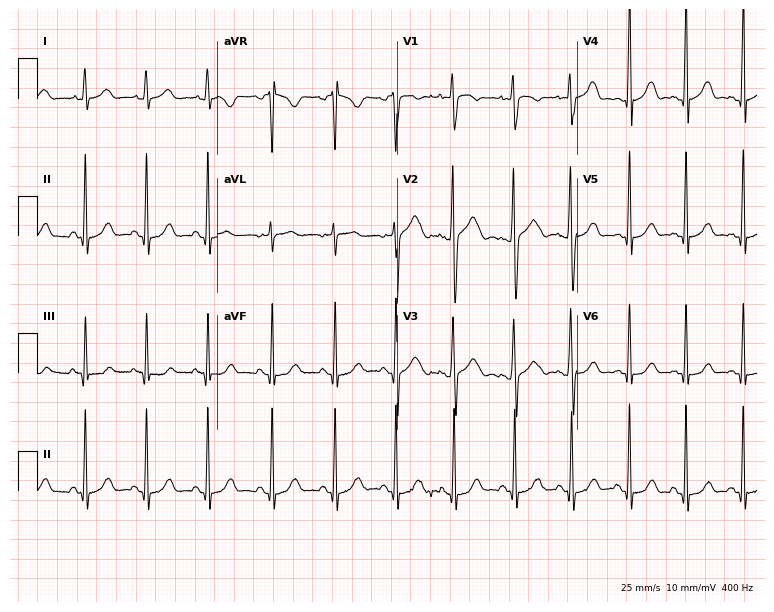
Standard 12-lead ECG recorded from a 22-year-old woman. Read as a normal ECG.